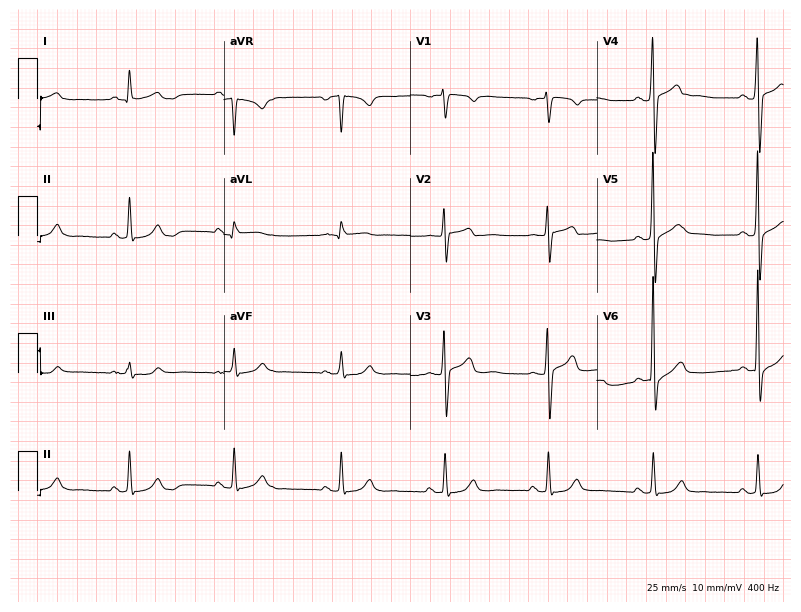
Standard 12-lead ECG recorded from a male, 61 years old. None of these six findings is recorded: first-degree AV block, right bundle branch block, left bundle branch block, sinus bradycardia, atrial fibrillation, sinus tachycardia.